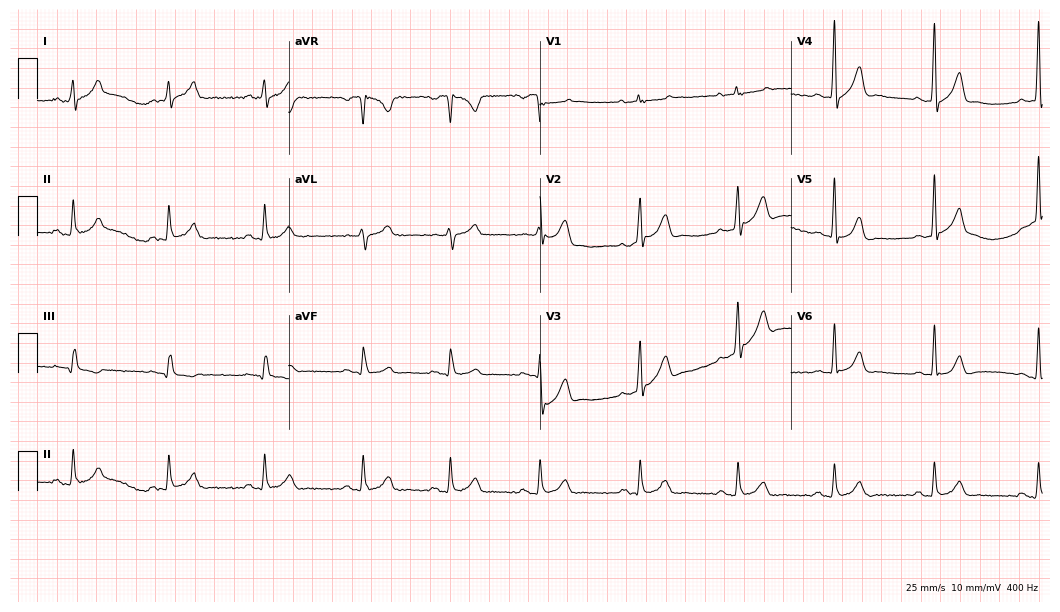
12-lead ECG from a 31-year-old male (10.2-second recording at 400 Hz). Recorded interpretation: within normal limits.